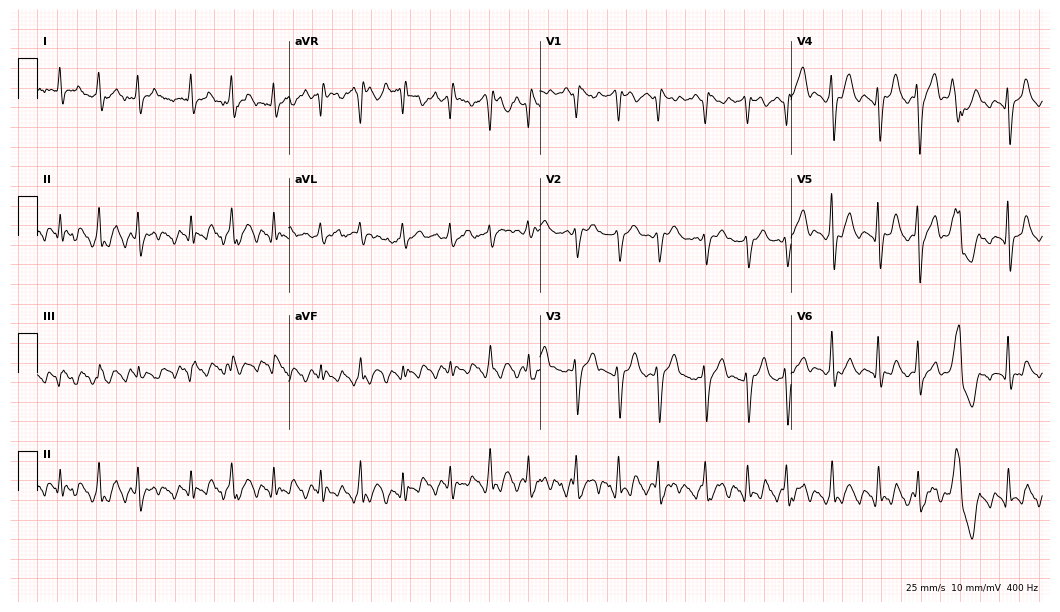
12-lead ECG (10.2-second recording at 400 Hz) from a male, 60 years old. Screened for six findings — first-degree AV block, right bundle branch block, left bundle branch block, sinus bradycardia, atrial fibrillation, sinus tachycardia — none is recorded.